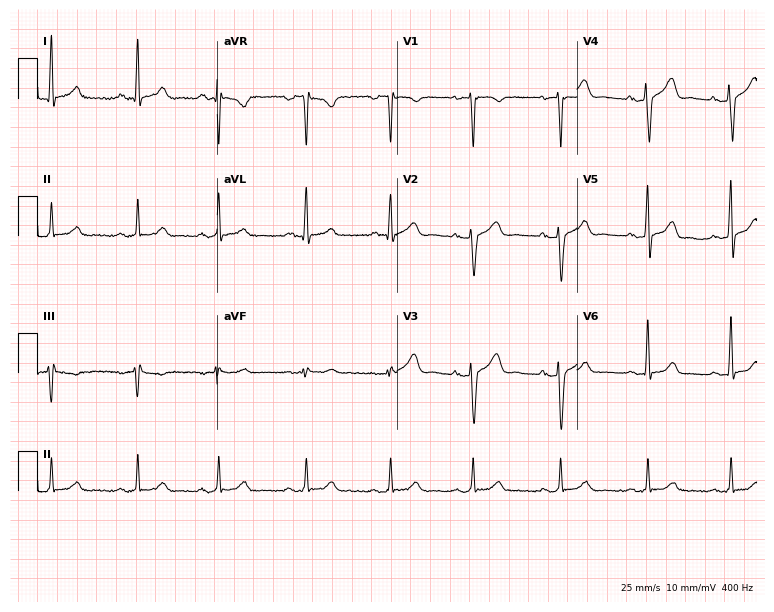
Resting 12-lead electrocardiogram. Patient: a 32-year-old woman. None of these six findings is recorded: first-degree AV block, right bundle branch block (RBBB), left bundle branch block (LBBB), sinus bradycardia, atrial fibrillation (AF), sinus tachycardia.